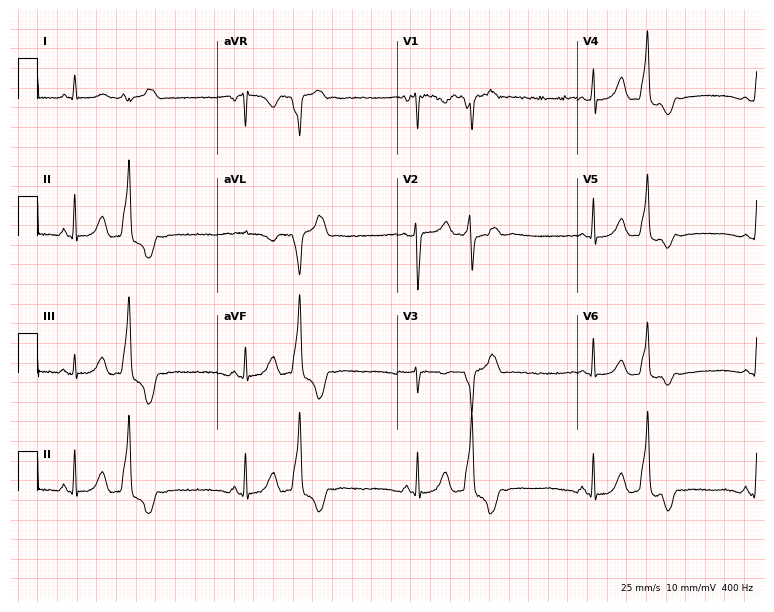
ECG (7.3-second recording at 400 Hz) — a 40-year-old woman. Screened for six findings — first-degree AV block, right bundle branch block, left bundle branch block, sinus bradycardia, atrial fibrillation, sinus tachycardia — none is recorded.